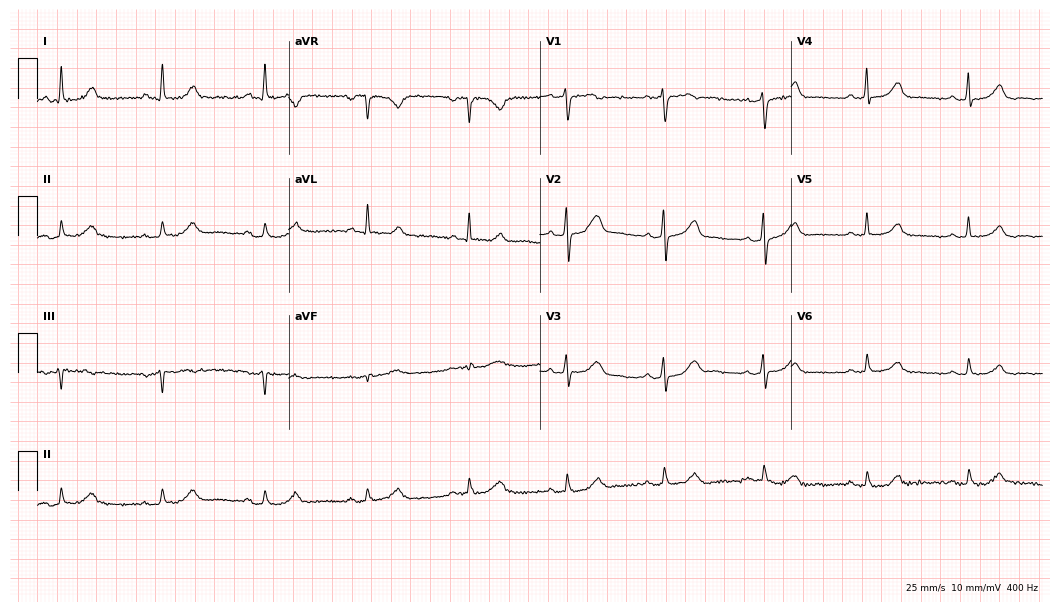
12-lead ECG from a woman, 67 years old. Labelled as a normal ECG.